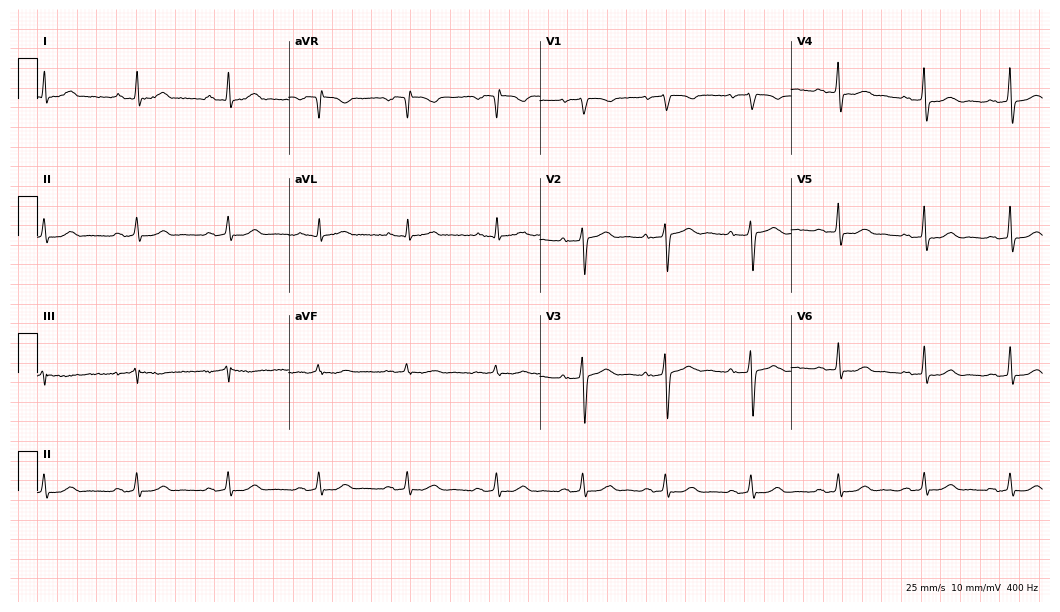
Electrocardiogram (10.2-second recording at 400 Hz), a 51-year-old female patient. Overall reading on record: normal ECG.